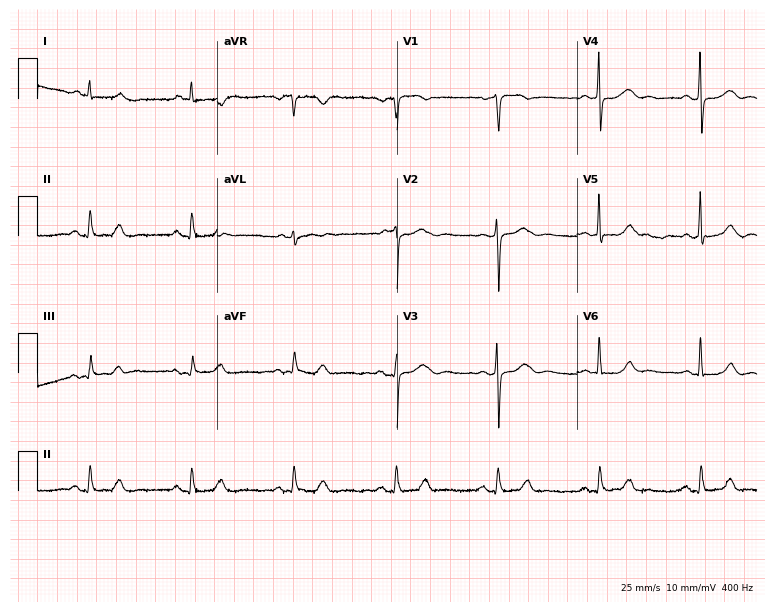
Standard 12-lead ECG recorded from a 69-year-old man (7.3-second recording at 400 Hz). Read as a normal ECG.